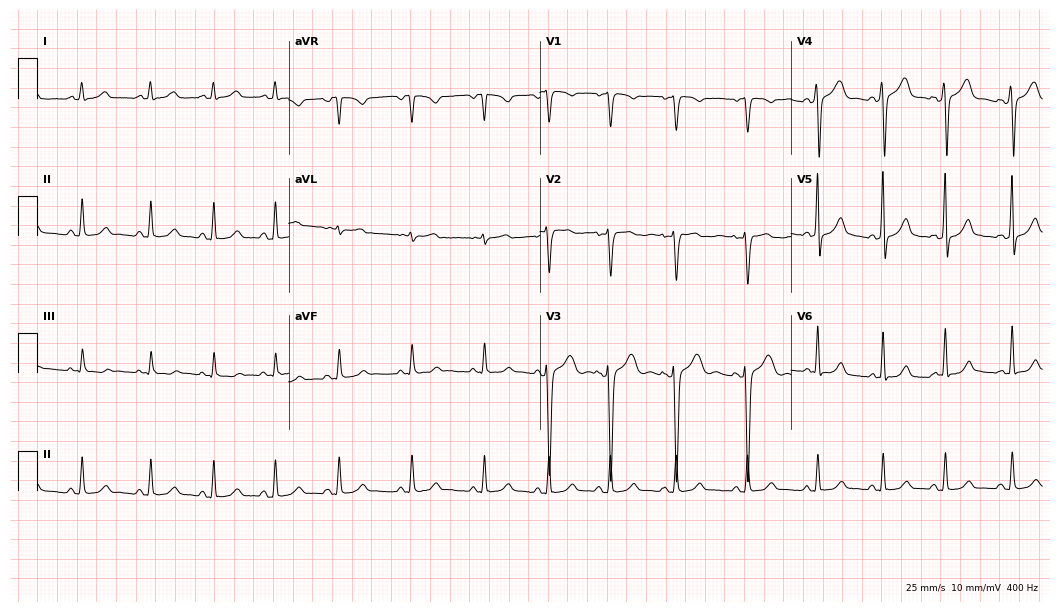
12-lead ECG from a 19-year-old woman. Recorded interpretation: within normal limits.